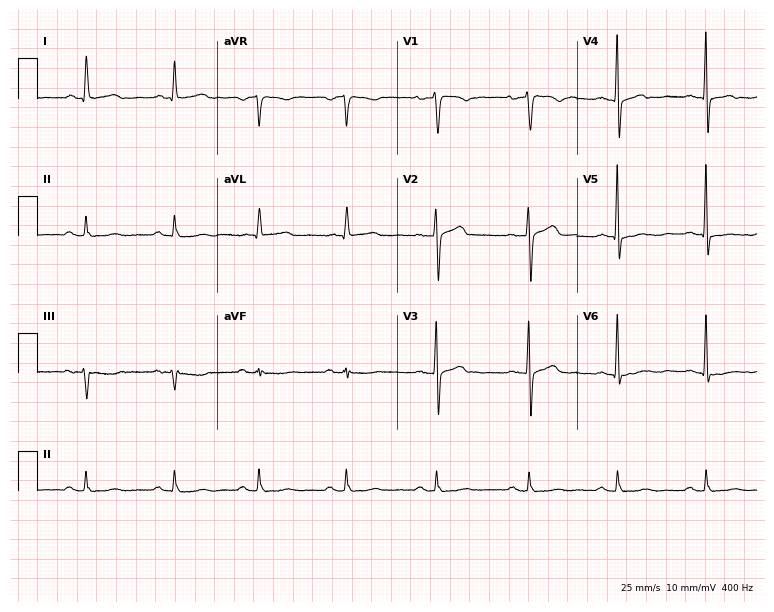
Resting 12-lead electrocardiogram (7.3-second recording at 400 Hz). Patient: a 56-year-old female. None of these six findings is recorded: first-degree AV block, right bundle branch block (RBBB), left bundle branch block (LBBB), sinus bradycardia, atrial fibrillation (AF), sinus tachycardia. Other findings, if any, are not listed.